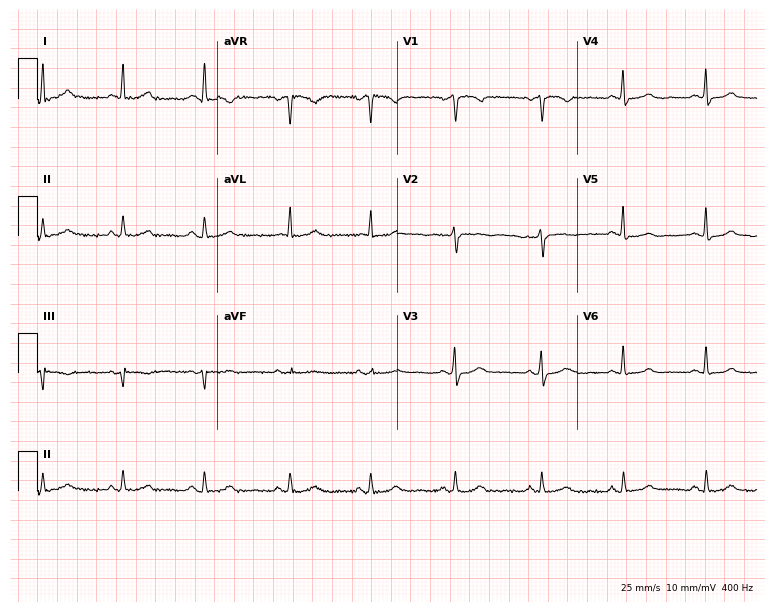
12-lead ECG from a female, 47 years old. Recorded interpretation: within normal limits.